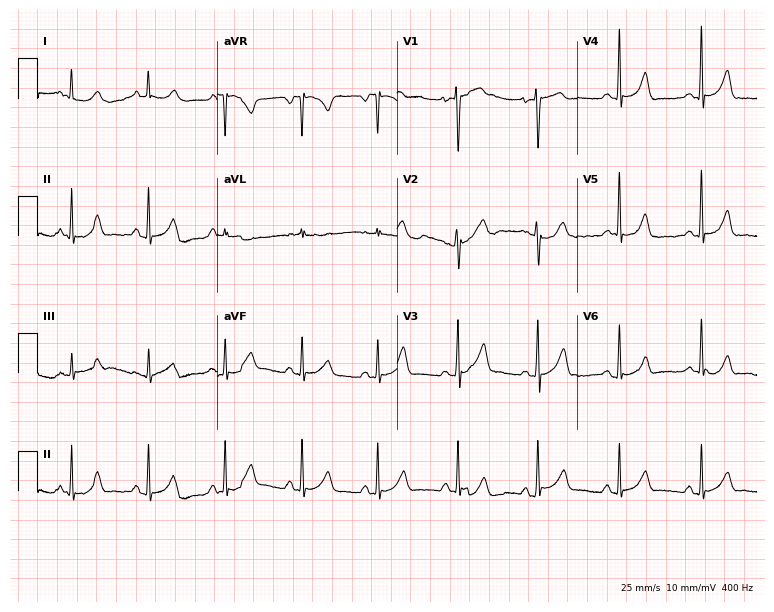
12-lead ECG from a 51-year-old female (7.3-second recording at 400 Hz). Recorded interpretation: within normal limits.